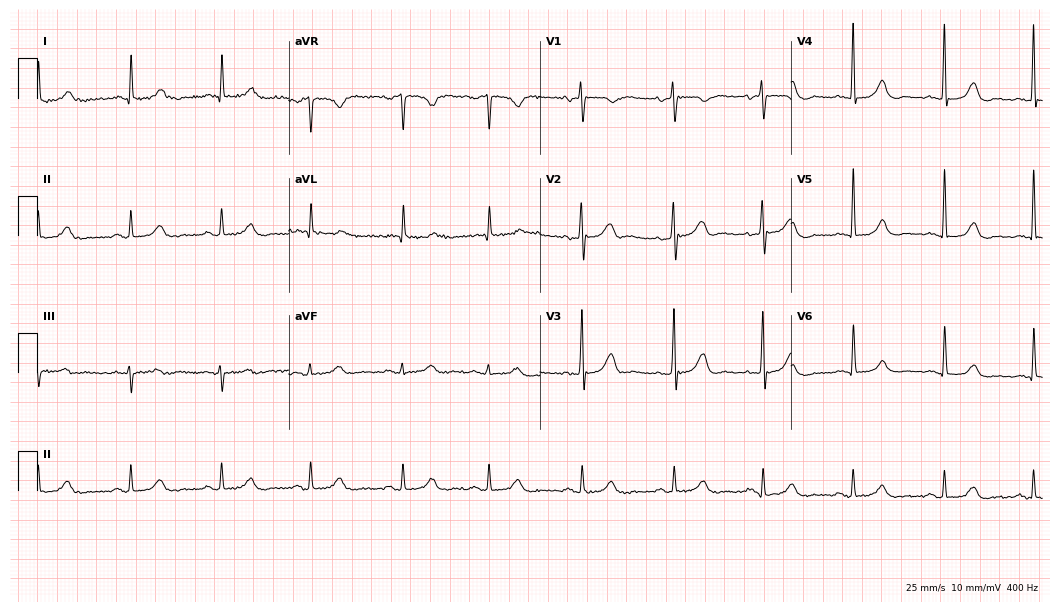
Resting 12-lead electrocardiogram (10.2-second recording at 400 Hz). Patient: an 84-year-old woman. Read as a normal ECG.